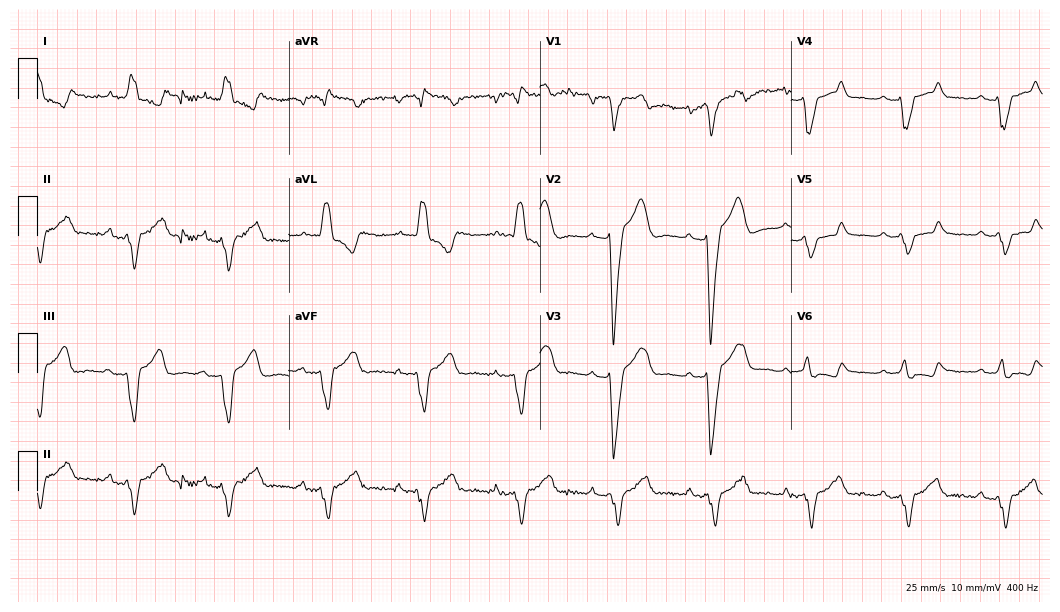
12-lead ECG from a 43-year-old female patient. Screened for six findings — first-degree AV block, right bundle branch block, left bundle branch block, sinus bradycardia, atrial fibrillation, sinus tachycardia — none is recorded. Findings outside these six are not listed.